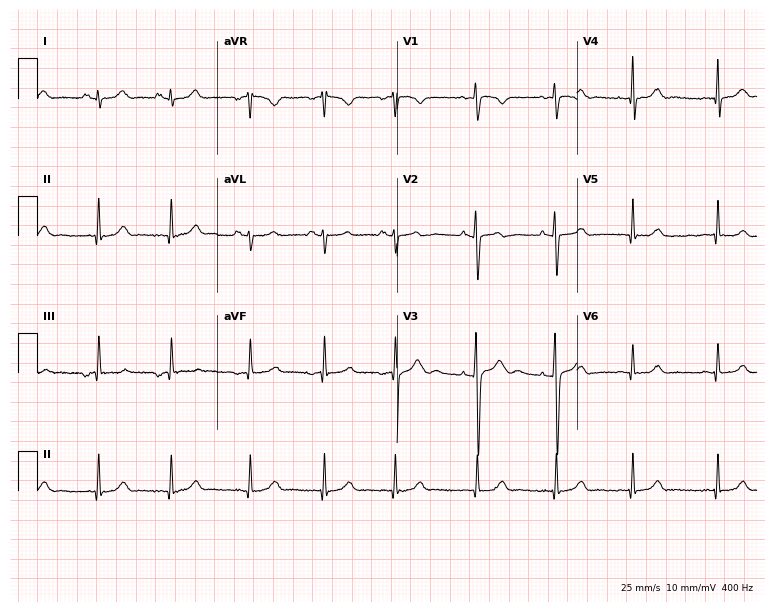
12-lead ECG (7.3-second recording at 400 Hz) from a 31-year-old female patient. Screened for six findings — first-degree AV block, right bundle branch block, left bundle branch block, sinus bradycardia, atrial fibrillation, sinus tachycardia — none is recorded. Only these six findings were labelled.